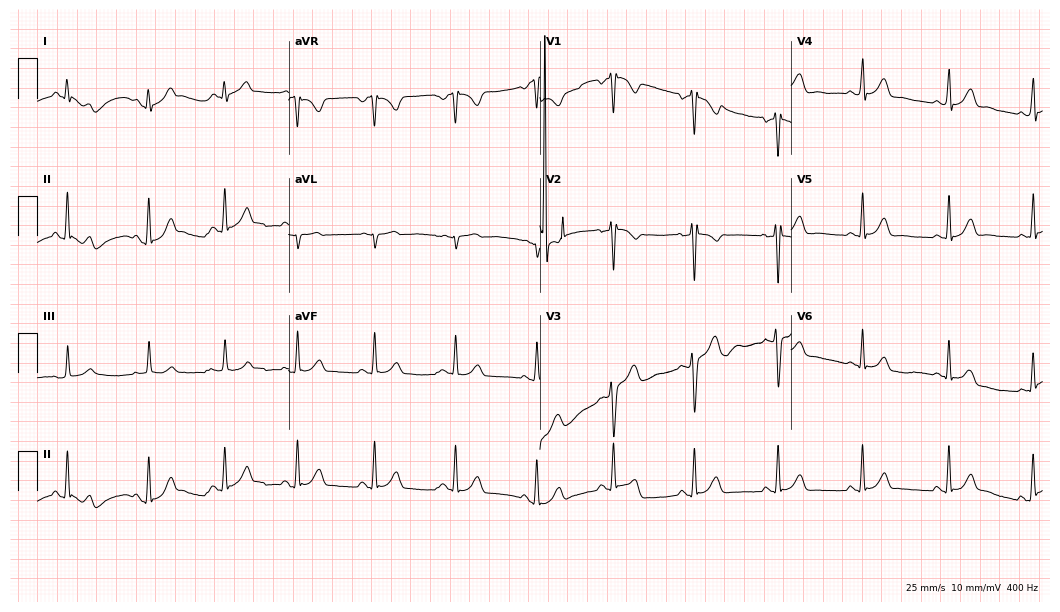
12-lead ECG from a 25-year-old female patient. Recorded interpretation: within normal limits.